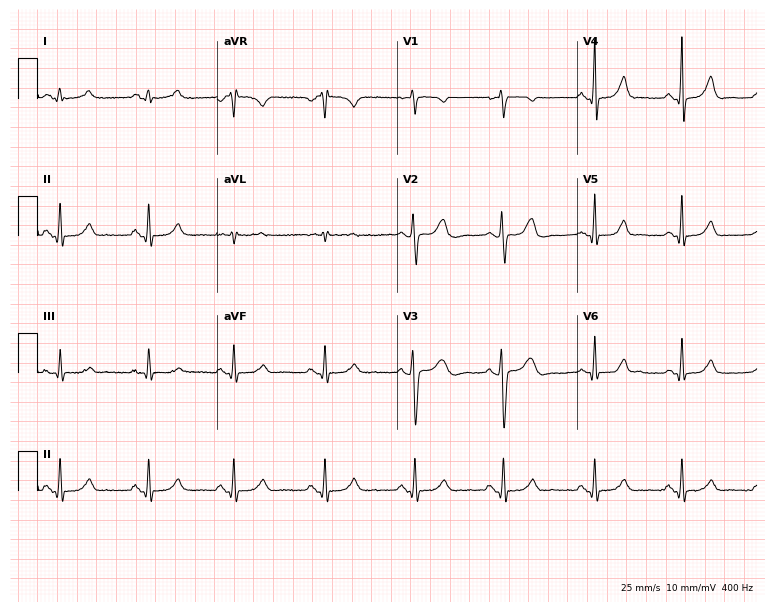
Standard 12-lead ECG recorded from a female, 36 years old (7.3-second recording at 400 Hz). Read as a normal ECG.